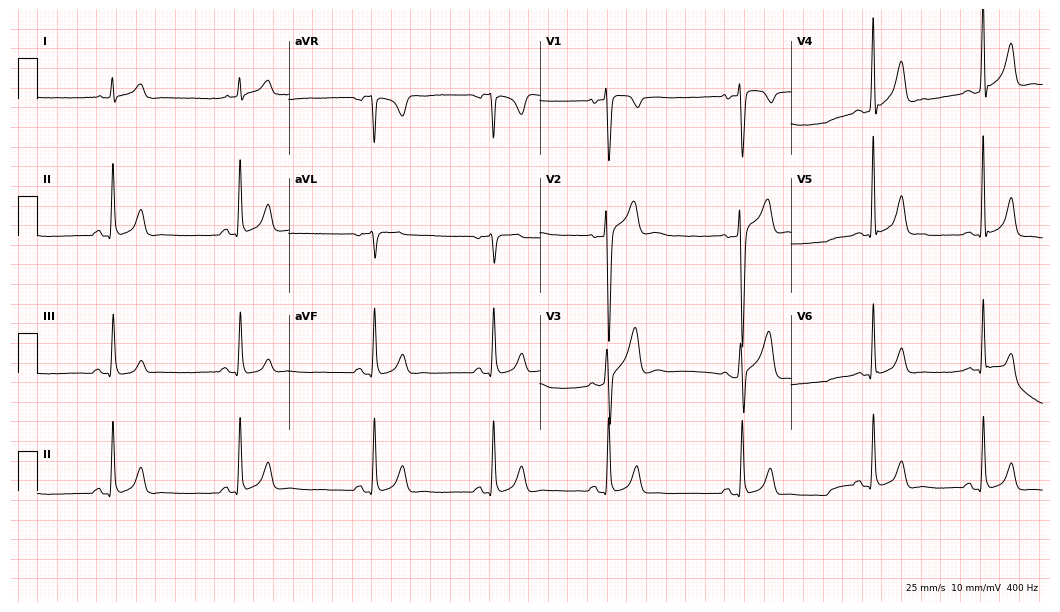
12-lead ECG from a 27-year-old male patient. Recorded interpretation: within normal limits.